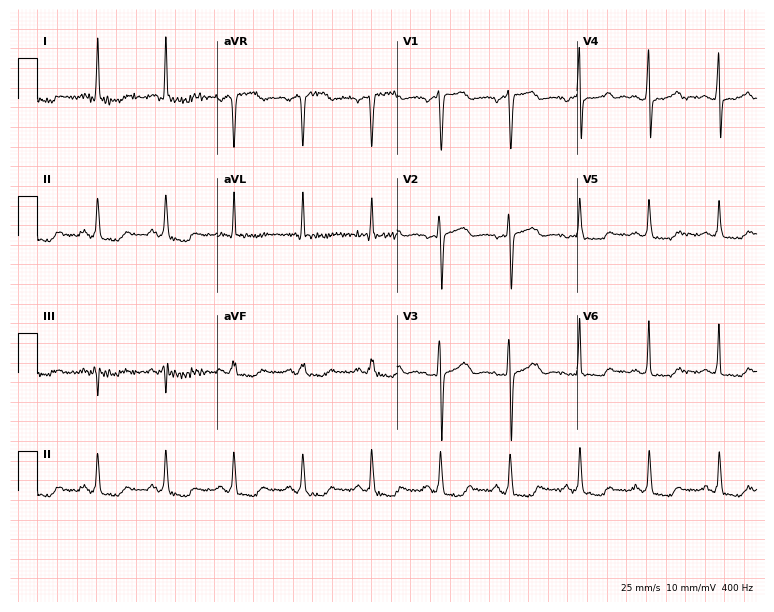
Standard 12-lead ECG recorded from a 60-year-old woman (7.3-second recording at 400 Hz). None of these six findings is recorded: first-degree AV block, right bundle branch block, left bundle branch block, sinus bradycardia, atrial fibrillation, sinus tachycardia.